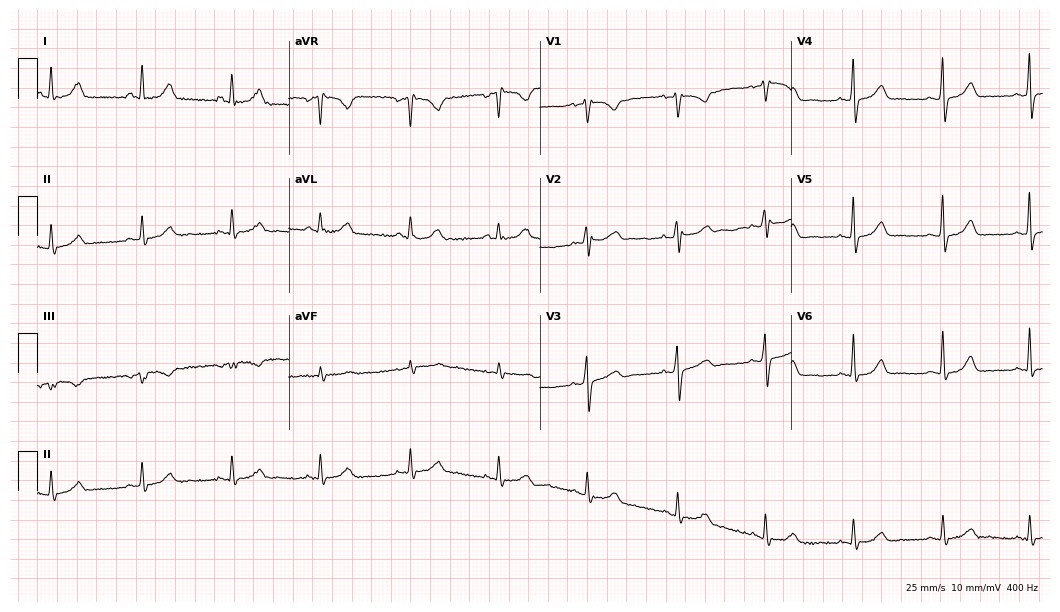
12-lead ECG from a 50-year-old female (10.2-second recording at 400 Hz). Recorded interpretation: within normal limits.